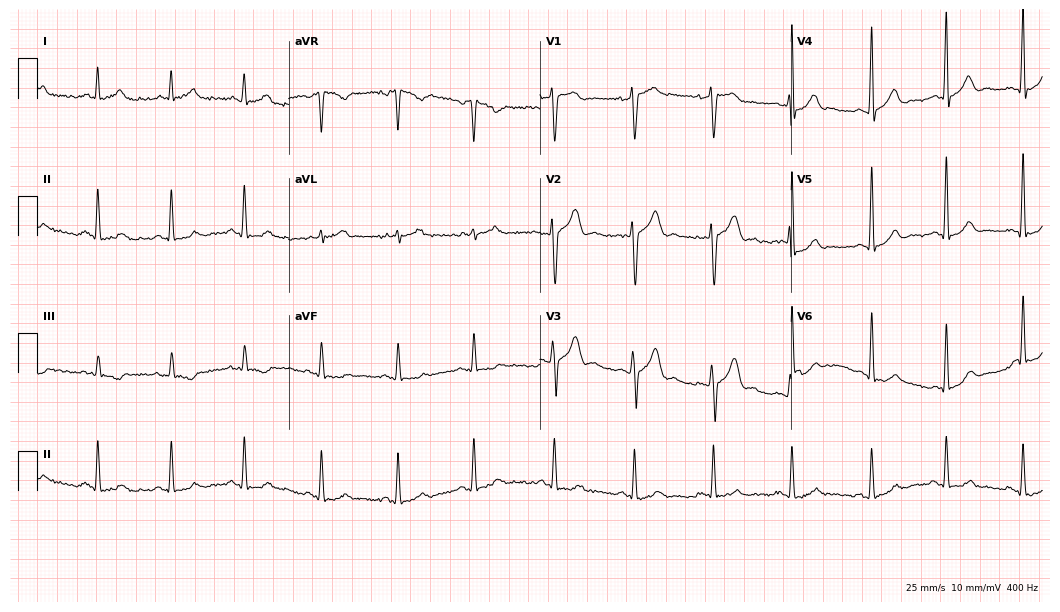
12-lead ECG from a 25-year-old male patient (10.2-second recording at 400 Hz). Recorded interpretation: within normal limits.